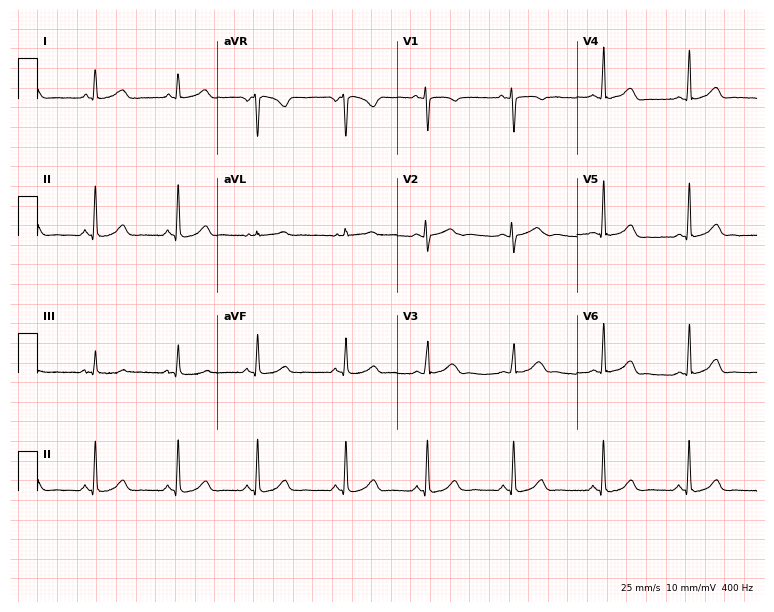
12-lead ECG from a 24-year-old female patient. No first-degree AV block, right bundle branch block, left bundle branch block, sinus bradycardia, atrial fibrillation or sinus tachycardia recorded for this tracing. Findings outside these six are not listed.